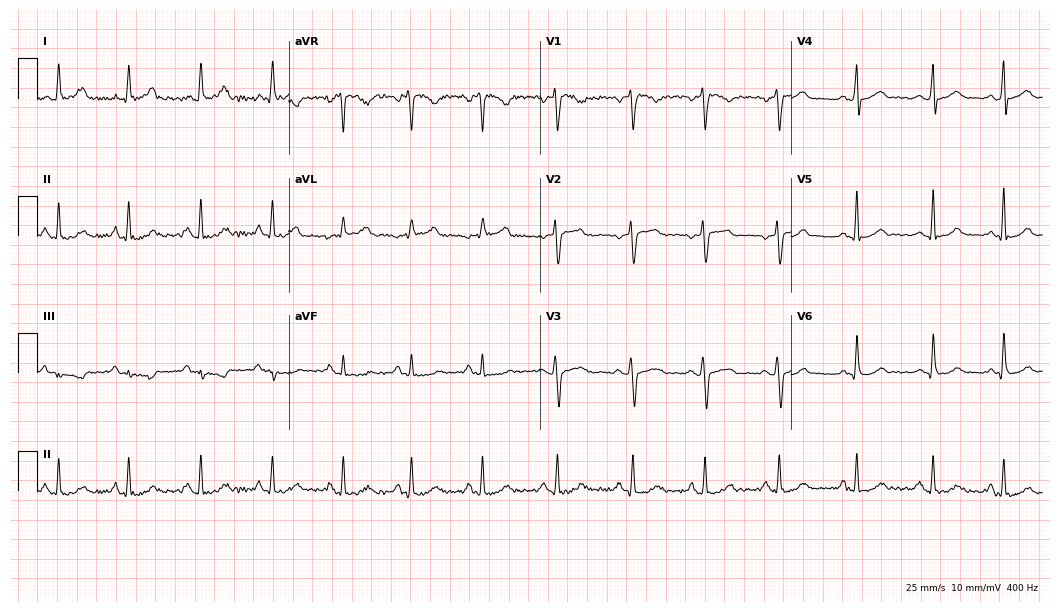
12-lead ECG (10.2-second recording at 400 Hz) from a female, 32 years old. Labelled as a normal ECG.